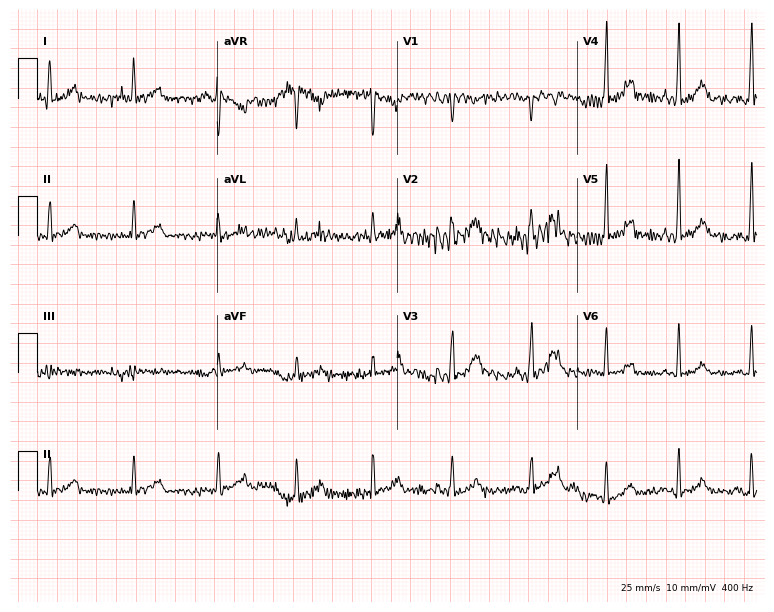
12-lead ECG (7.3-second recording at 400 Hz) from a woman, 38 years old. Screened for six findings — first-degree AV block, right bundle branch block, left bundle branch block, sinus bradycardia, atrial fibrillation, sinus tachycardia — none is recorded.